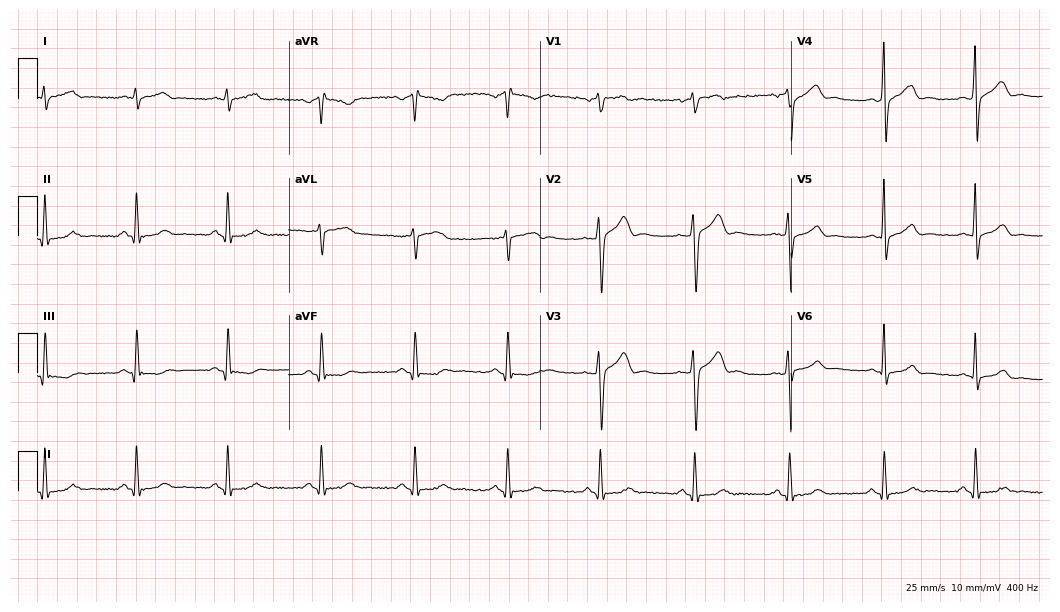
12-lead ECG from a male, 49 years old. No first-degree AV block, right bundle branch block, left bundle branch block, sinus bradycardia, atrial fibrillation or sinus tachycardia recorded for this tracing. Other findings, if any, are not listed.